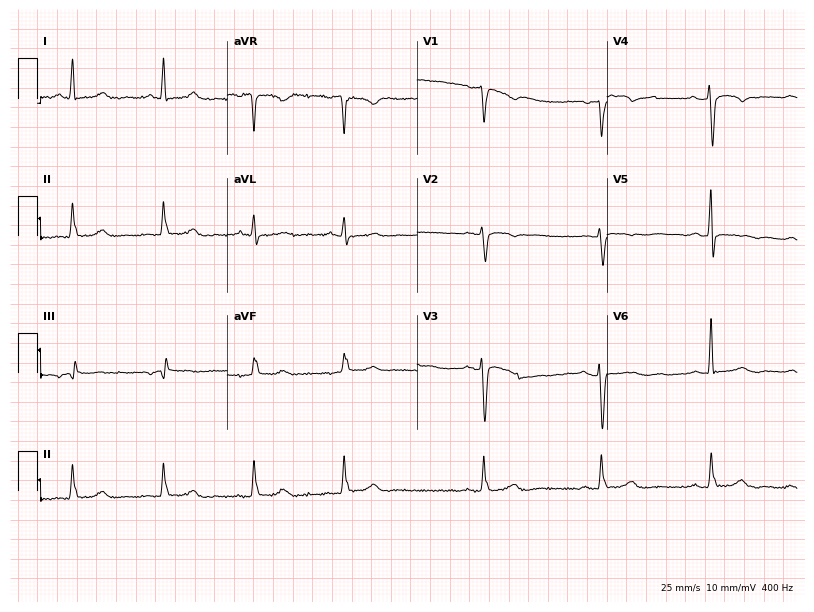
Resting 12-lead electrocardiogram. Patient: a 51-year-old woman. None of these six findings is recorded: first-degree AV block, right bundle branch block, left bundle branch block, sinus bradycardia, atrial fibrillation, sinus tachycardia. Findings outside these six are not listed.